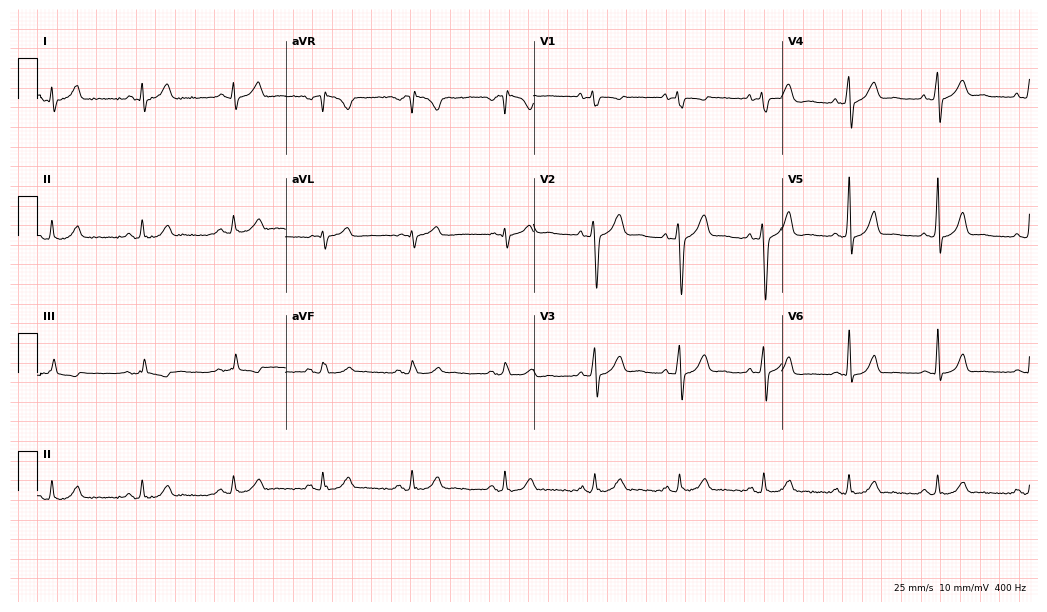
Resting 12-lead electrocardiogram. Patient: a male, 37 years old. Read as a normal ECG.